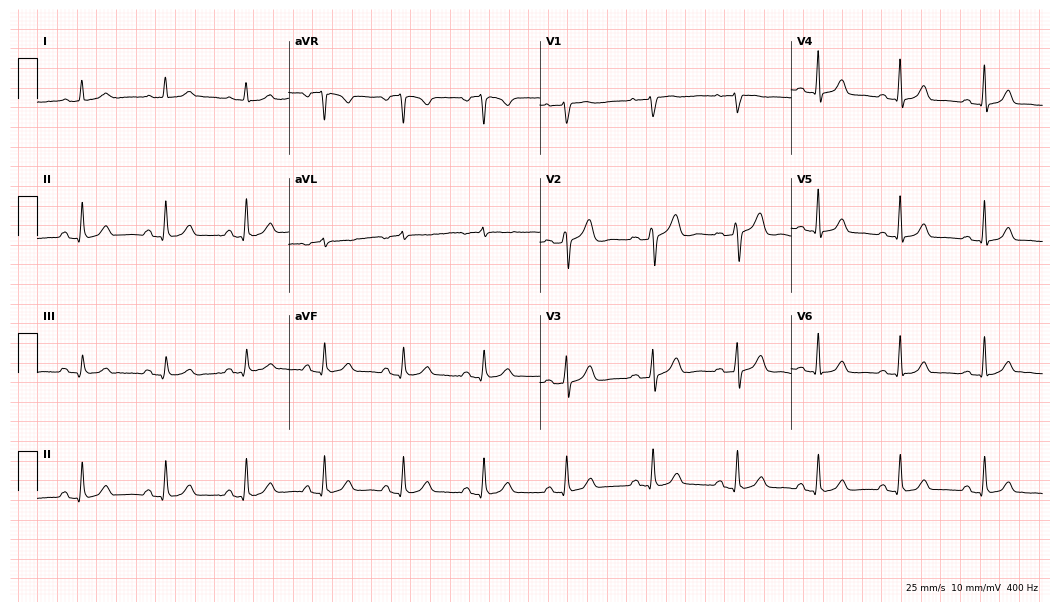
12-lead ECG from a woman, 53 years old (10.2-second recording at 400 Hz). Recorded interpretation: within normal limits.